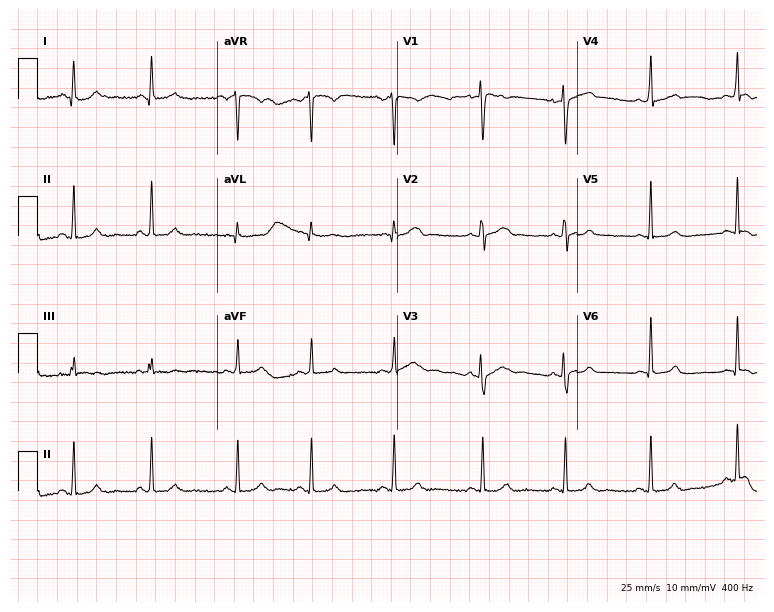
Resting 12-lead electrocardiogram (7.3-second recording at 400 Hz). Patient: a 23-year-old woman. None of these six findings is recorded: first-degree AV block, right bundle branch block, left bundle branch block, sinus bradycardia, atrial fibrillation, sinus tachycardia.